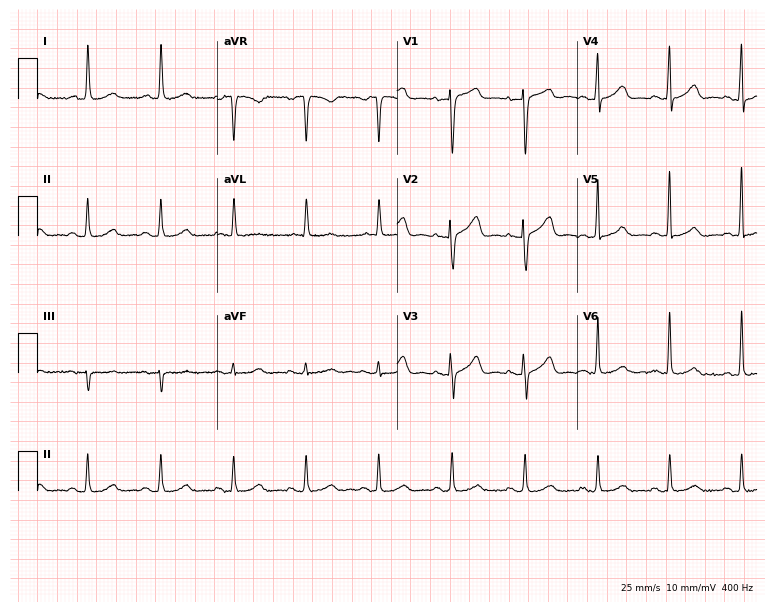
Standard 12-lead ECG recorded from an 80-year-old female. None of these six findings is recorded: first-degree AV block, right bundle branch block (RBBB), left bundle branch block (LBBB), sinus bradycardia, atrial fibrillation (AF), sinus tachycardia. Other findings, if any, are not listed.